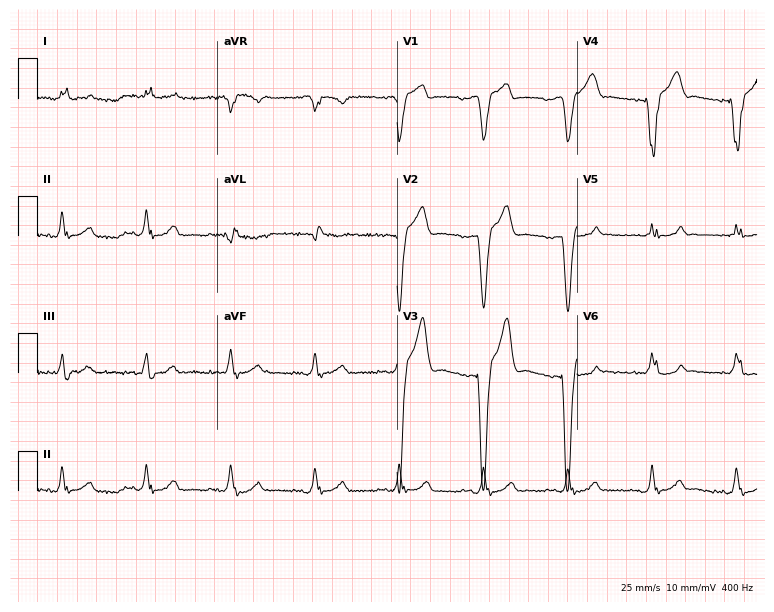
Resting 12-lead electrocardiogram. Patient: a 75-year-old man. The tracing shows left bundle branch block.